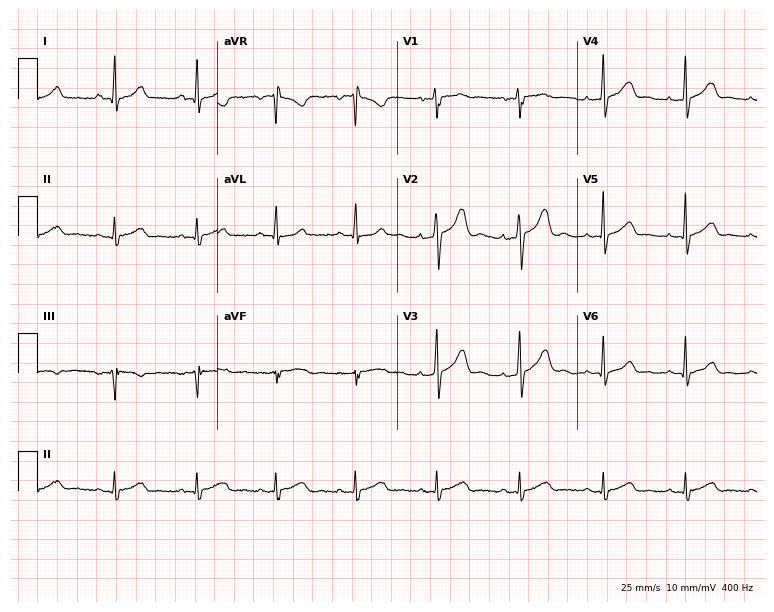
Standard 12-lead ECG recorded from a man, 30 years old (7.3-second recording at 400 Hz). Read as a normal ECG.